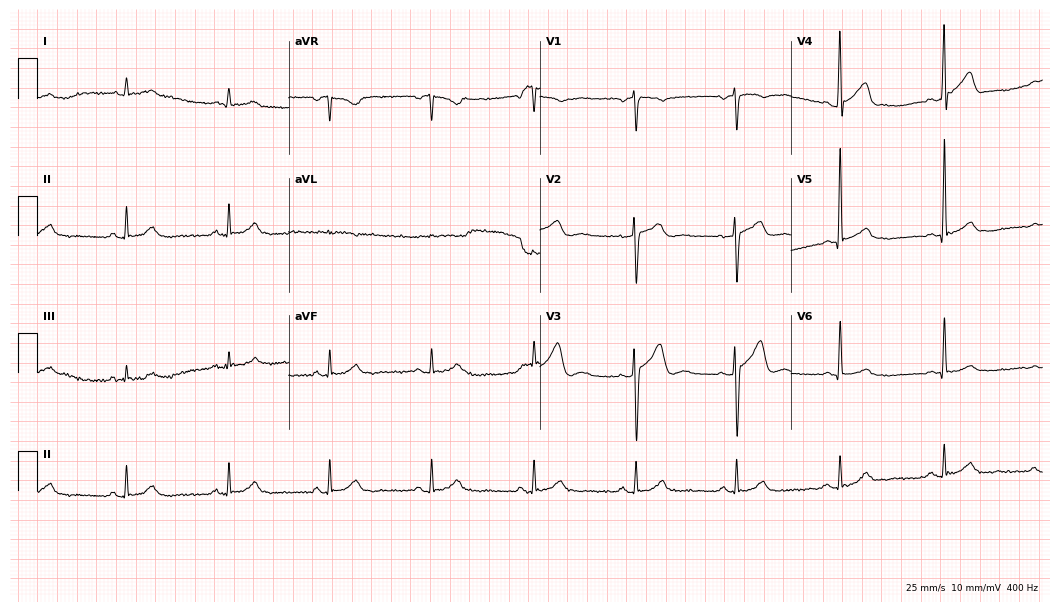
12-lead ECG from a 57-year-old man (10.2-second recording at 400 Hz). No first-degree AV block, right bundle branch block, left bundle branch block, sinus bradycardia, atrial fibrillation or sinus tachycardia recorded for this tracing.